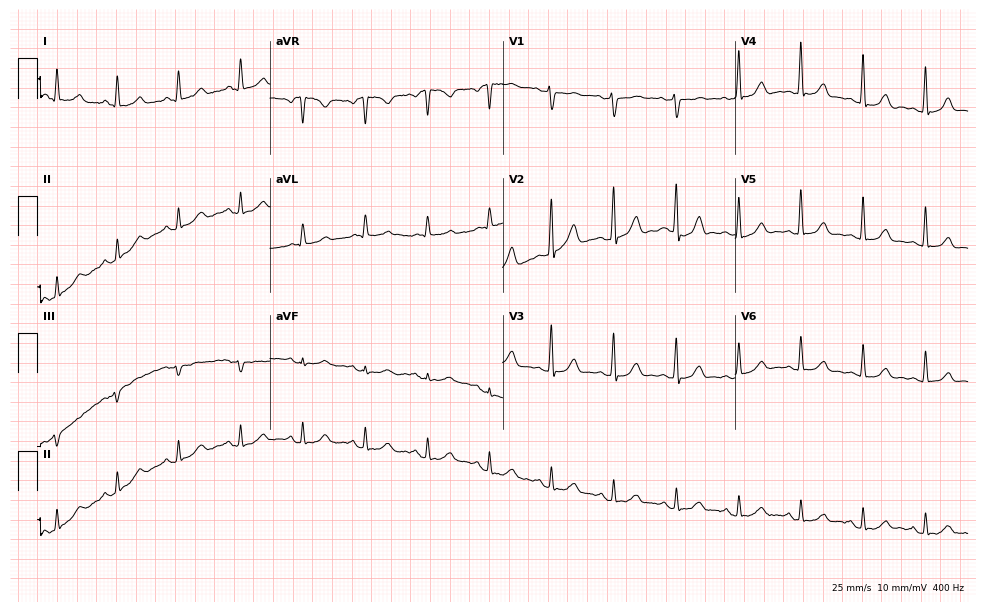
Standard 12-lead ECG recorded from a 55-year-old woman (9.5-second recording at 400 Hz). None of these six findings is recorded: first-degree AV block, right bundle branch block (RBBB), left bundle branch block (LBBB), sinus bradycardia, atrial fibrillation (AF), sinus tachycardia.